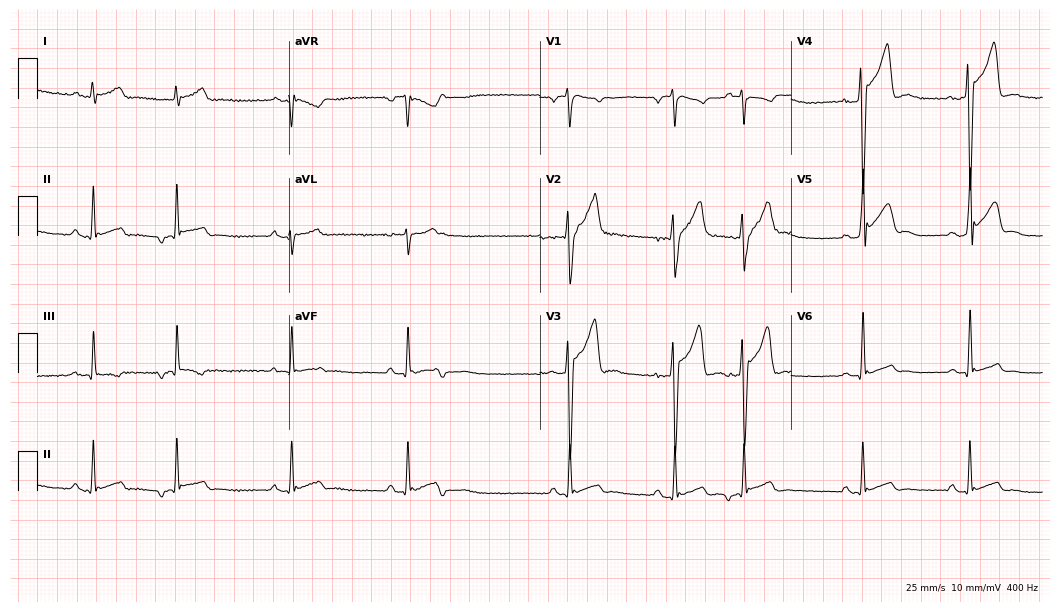
Resting 12-lead electrocardiogram (10.2-second recording at 400 Hz). Patient: a man, 21 years old. None of these six findings is recorded: first-degree AV block, right bundle branch block, left bundle branch block, sinus bradycardia, atrial fibrillation, sinus tachycardia.